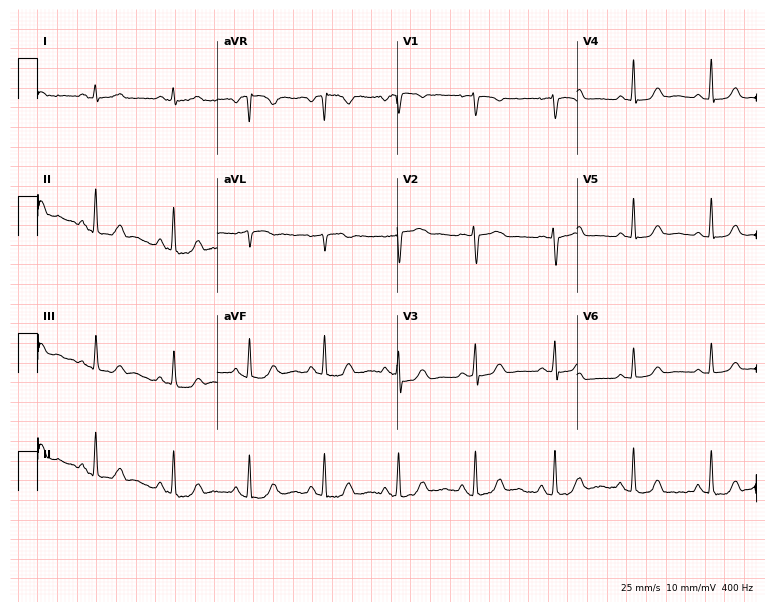
Standard 12-lead ECG recorded from a female patient, 56 years old. None of these six findings is recorded: first-degree AV block, right bundle branch block, left bundle branch block, sinus bradycardia, atrial fibrillation, sinus tachycardia.